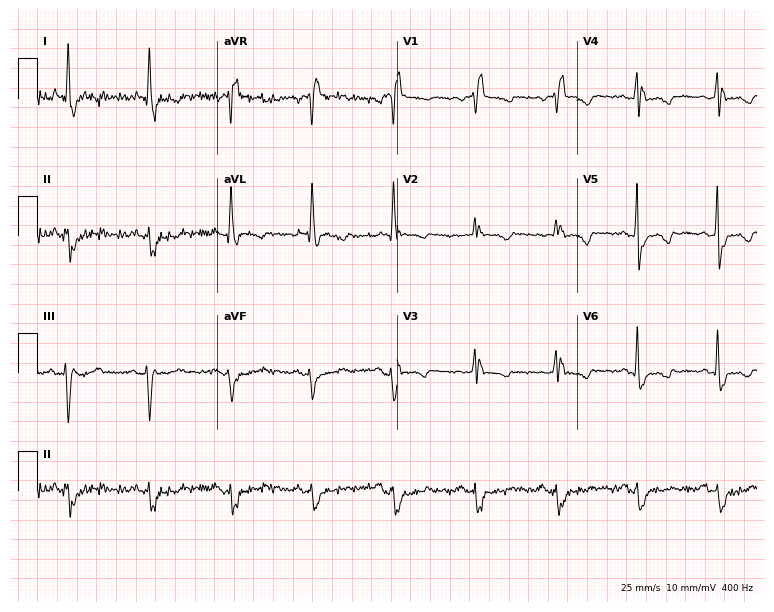
12-lead ECG from a 64-year-old female. Findings include right bundle branch block.